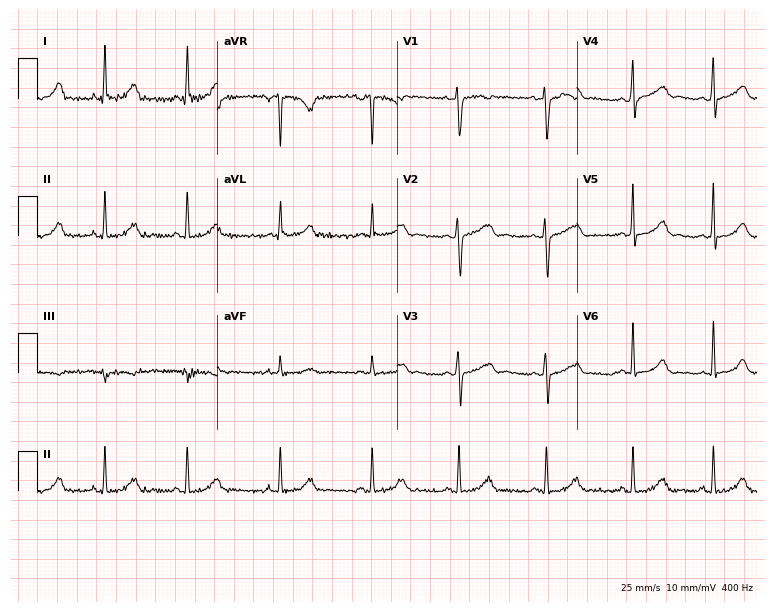
Resting 12-lead electrocardiogram. Patient: a woman, 30 years old. Read as a normal ECG.